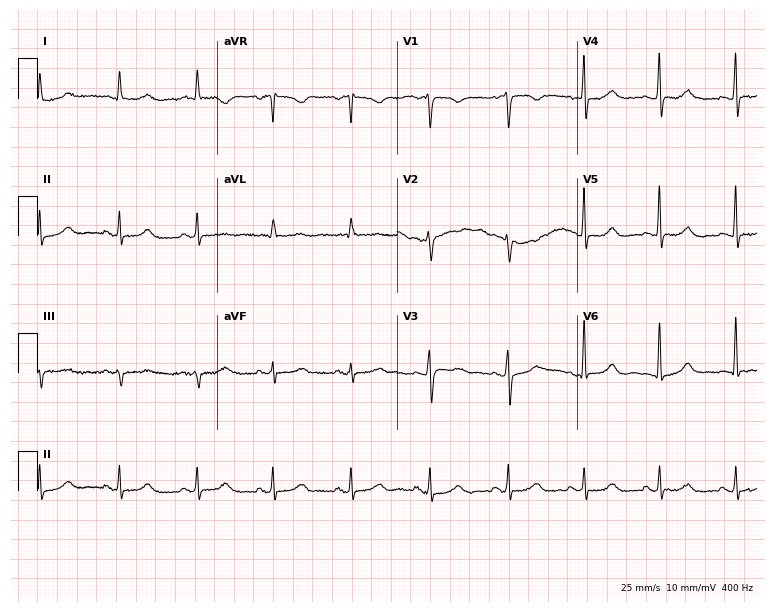
ECG (7.3-second recording at 400 Hz) — a female patient, 59 years old. Screened for six findings — first-degree AV block, right bundle branch block (RBBB), left bundle branch block (LBBB), sinus bradycardia, atrial fibrillation (AF), sinus tachycardia — none is recorded. Other findings, if any, are not listed.